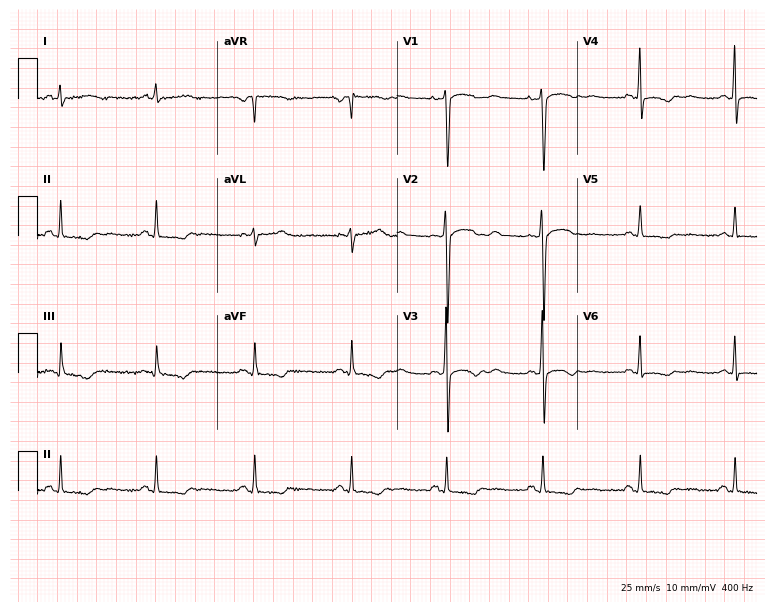
Resting 12-lead electrocardiogram. Patient: a 48-year-old female. None of these six findings is recorded: first-degree AV block, right bundle branch block, left bundle branch block, sinus bradycardia, atrial fibrillation, sinus tachycardia. Only these six findings were labelled.